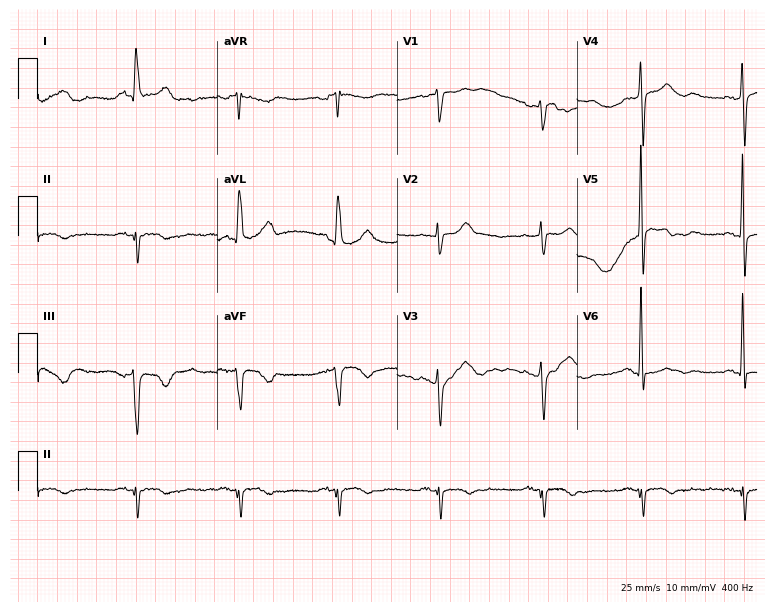
Electrocardiogram (7.3-second recording at 400 Hz), a female, 72 years old. Of the six screened findings (first-degree AV block, right bundle branch block (RBBB), left bundle branch block (LBBB), sinus bradycardia, atrial fibrillation (AF), sinus tachycardia), none is recorded.